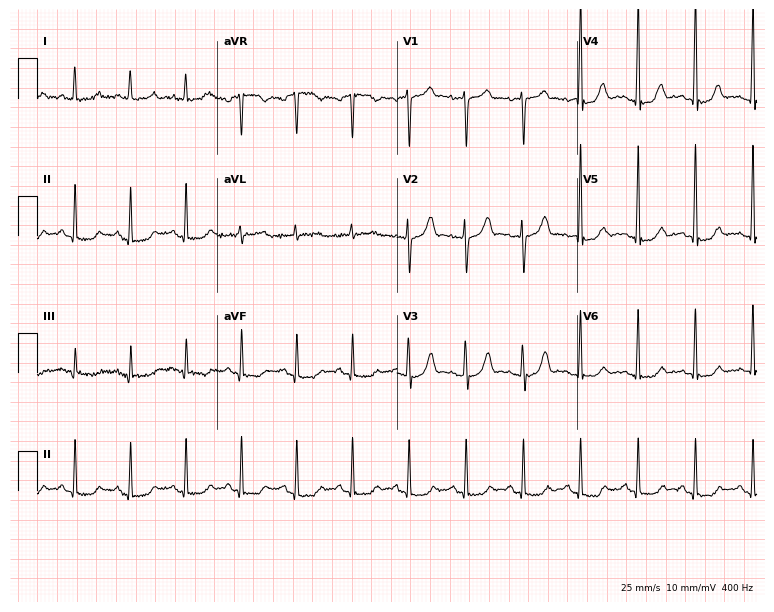
12-lead ECG from a female patient, 50 years old. Screened for six findings — first-degree AV block, right bundle branch block (RBBB), left bundle branch block (LBBB), sinus bradycardia, atrial fibrillation (AF), sinus tachycardia — none is recorded.